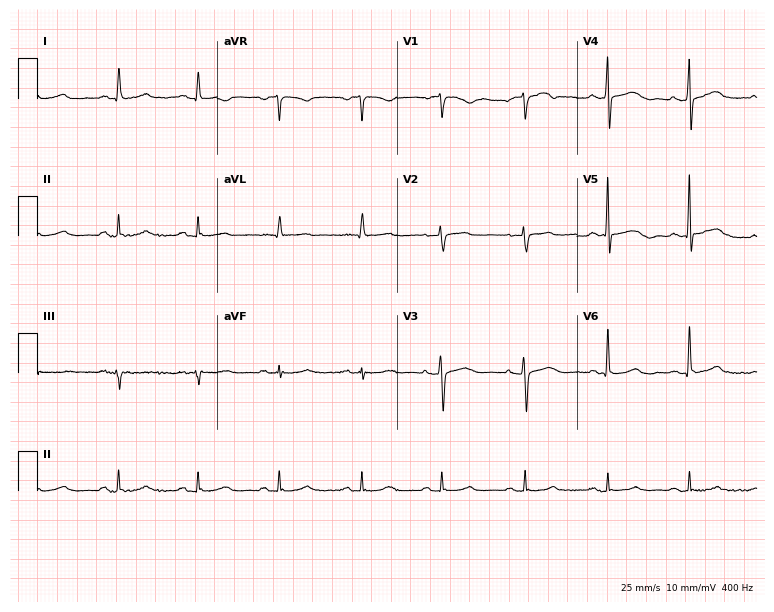
12-lead ECG from a 53-year-old female (7.3-second recording at 400 Hz). No first-degree AV block, right bundle branch block, left bundle branch block, sinus bradycardia, atrial fibrillation or sinus tachycardia recorded for this tracing. Findings outside these six are not listed.